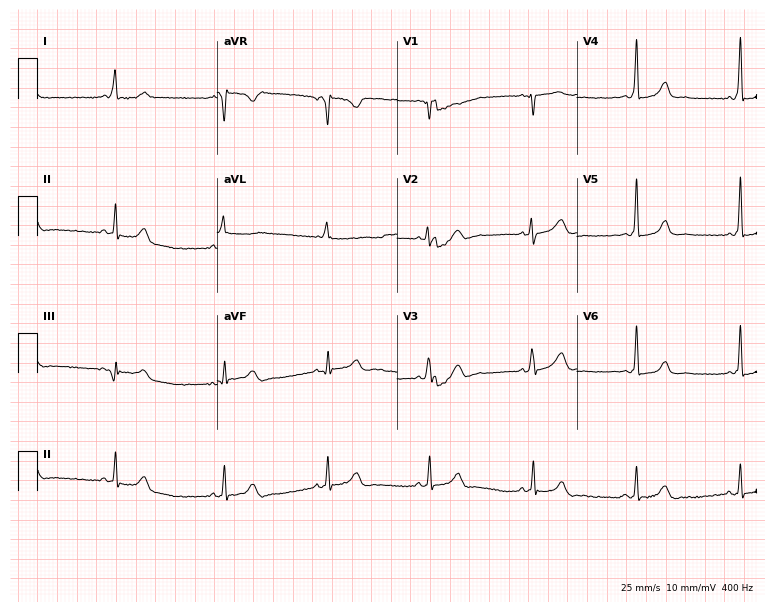
12-lead ECG from a 26-year-old woman (7.3-second recording at 400 Hz). No first-degree AV block, right bundle branch block, left bundle branch block, sinus bradycardia, atrial fibrillation or sinus tachycardia recorded for this tracing. Other findings, if any, are not listed.